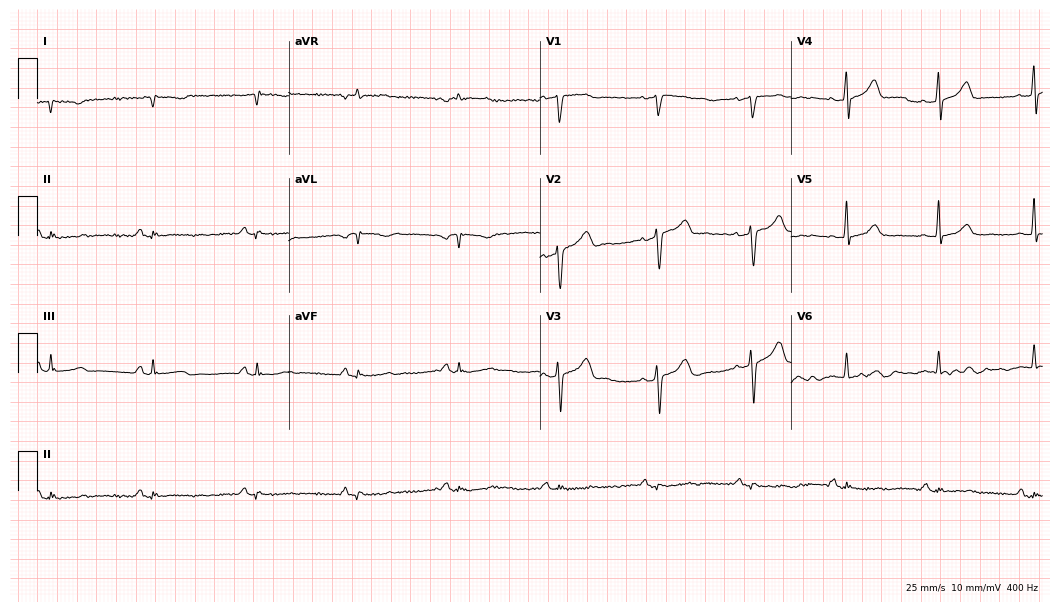
Electrocardiogram, a 65-year-old male. Of the six screened findings (first-degree AV block, right bundle branch block, left bundle branch block, sinus bradycardia, atrial fibrillation, sinus tachycardia), none is recorded.